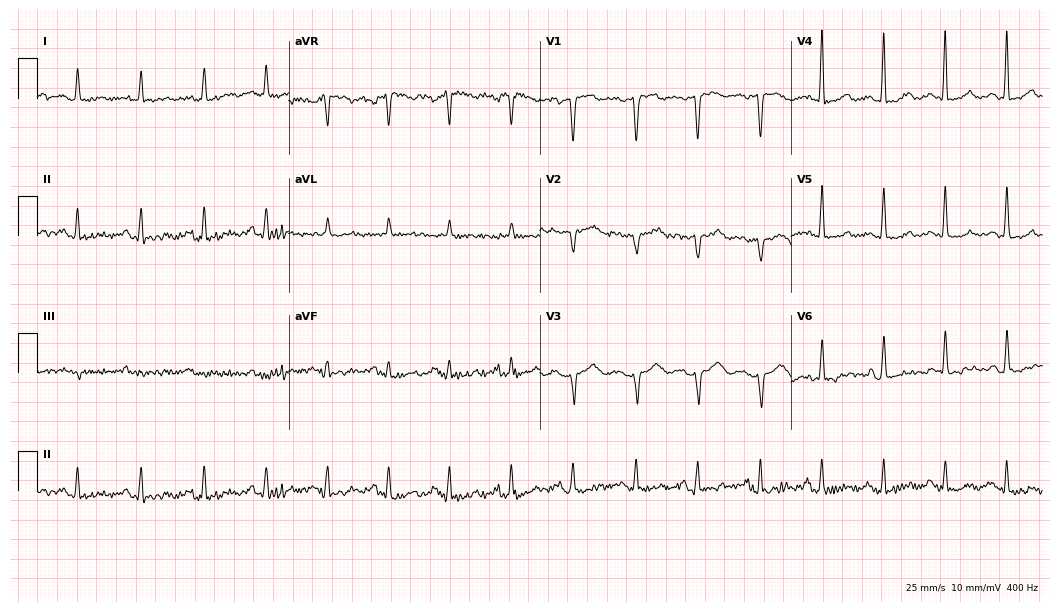
12-lead ECG (10.2-second recording at 400 Hz) from a 70-year-old woman. Labelled as a normal ECG.